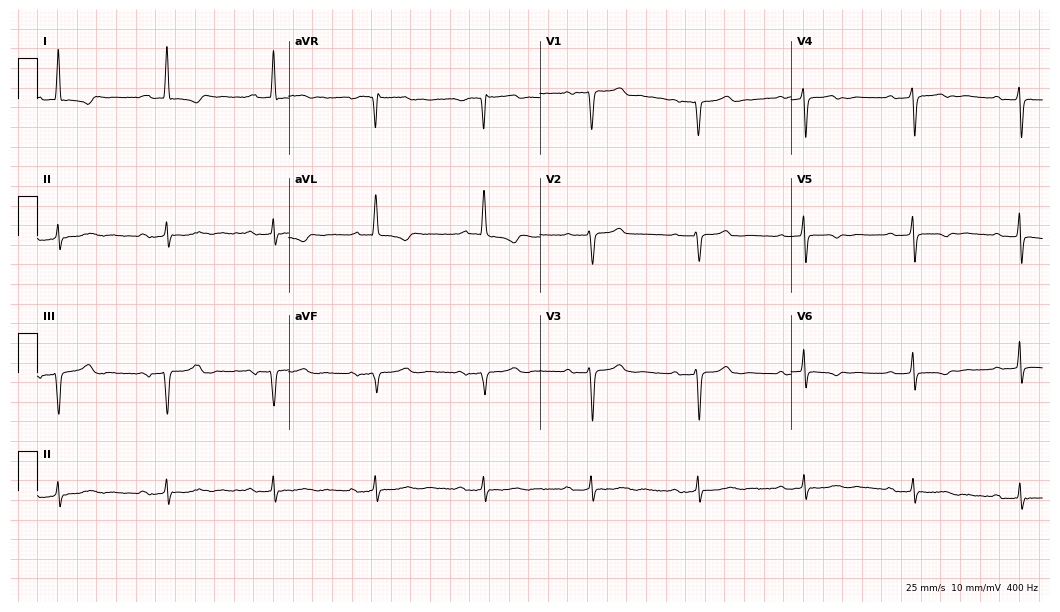
ECG — a 68-year-old female. Findings include first-degree AV block.